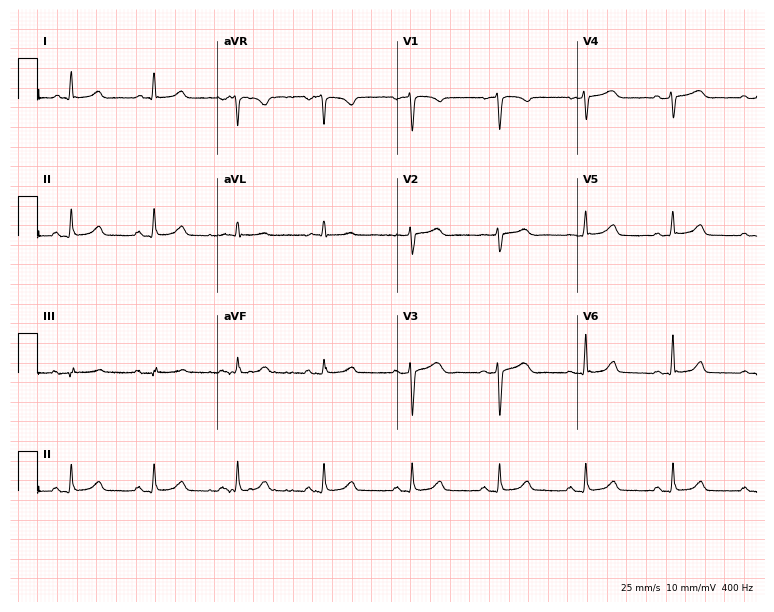
Standard 12-lead ECG recorded from a female patient, 41 years old. Read as a normal ECG.